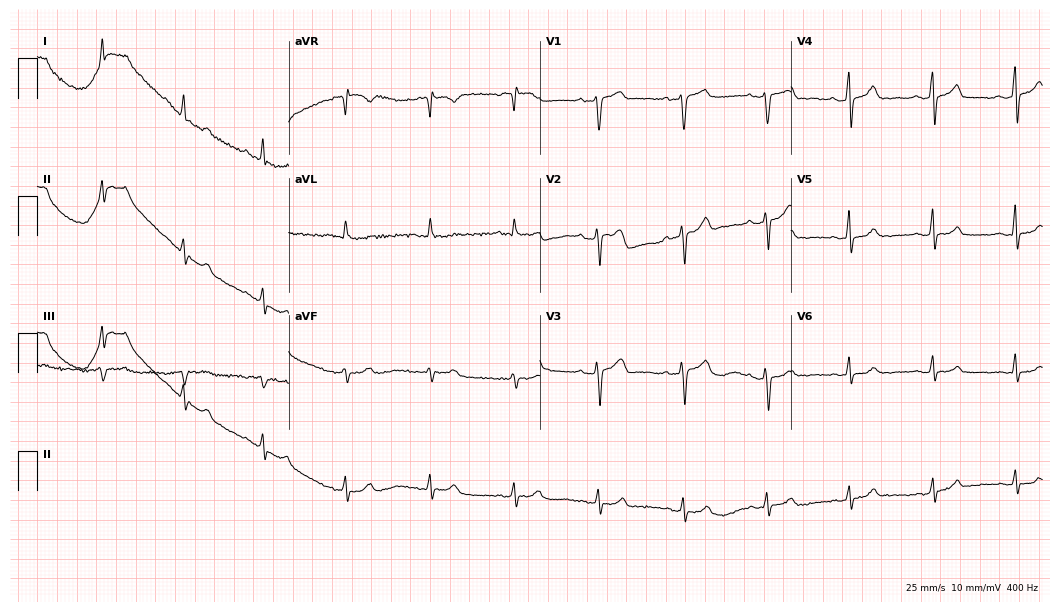
Electrocardiogram, a female, 53 years old. Of the six screened findings (first-degree AV block, right bundle branch block (RBBB), left bundle branch block (LBBB), sinus bradycardia, atrial fibrillation (AF), sinus tachycardia), none is recorded.